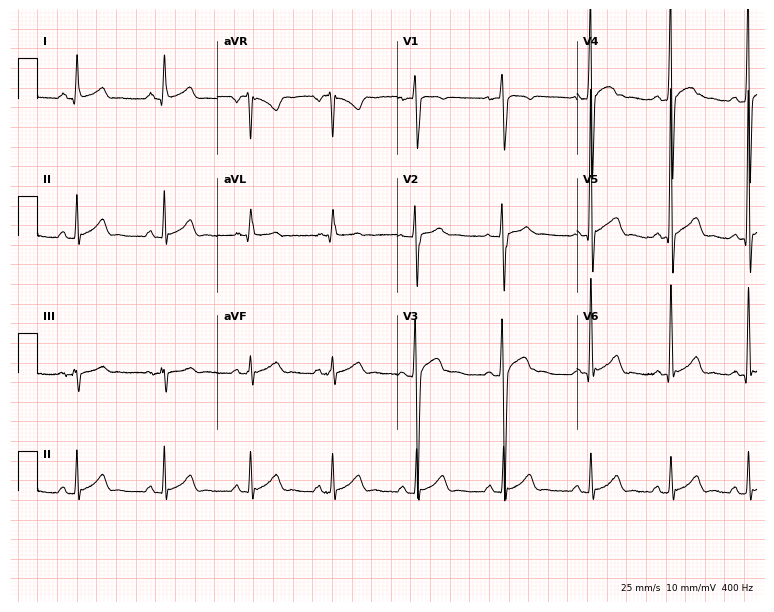
12-lead ECG from an 18-year-old man. Screened for six findings — first-degree AV block, right bundle branch block, left bundle branch block, sinus bradycardia, atrial fibrillation, sinus tachycardia — none is recorded. Only these six findings were labelled.